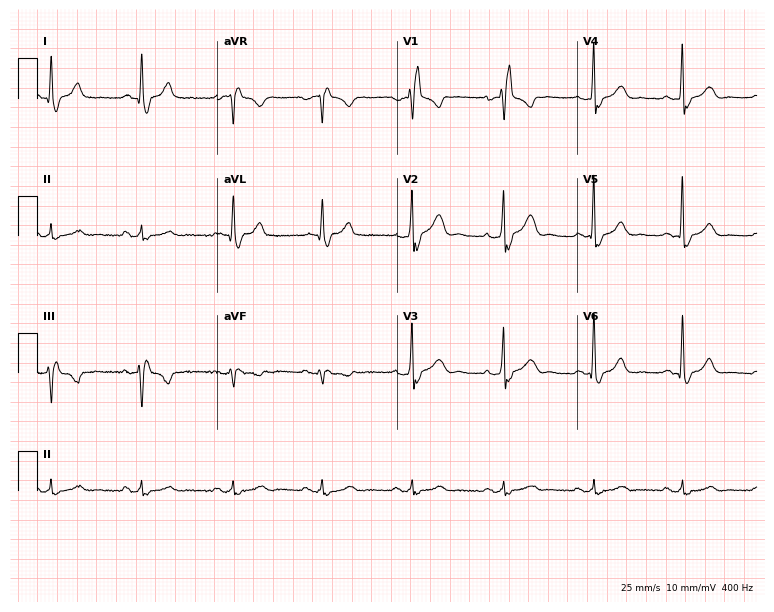
Standard 12-lead ECG recorded from a 52-year-old male patient. The tracing shows right bundle branch block.